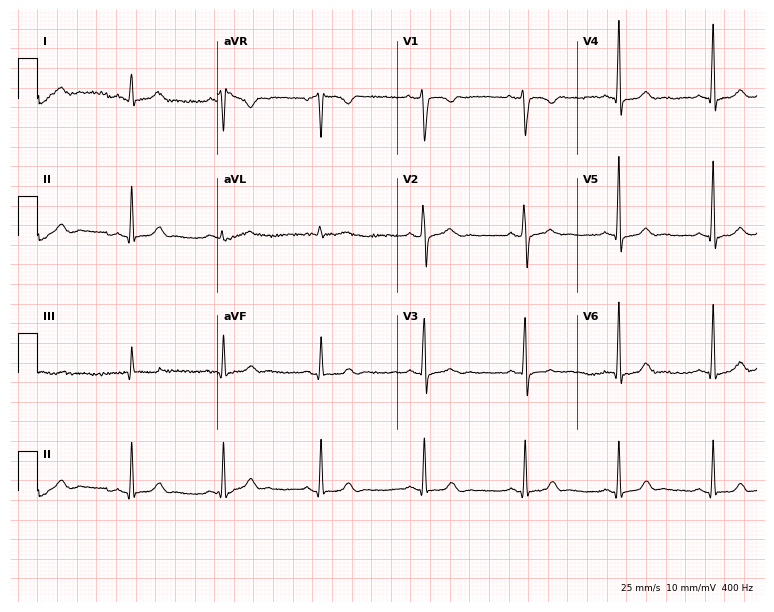
Standard 12-lead ECG recorded from a 70-year-old female patient (7.3-second recording at 400 Hz). None of these six findings is recorded: first-degree AV block, right bundle branch block (RBBB), left bundle branch block (LBBB), sinus bradycardia, atrial fibrillation (AF), sinus tachycardia.